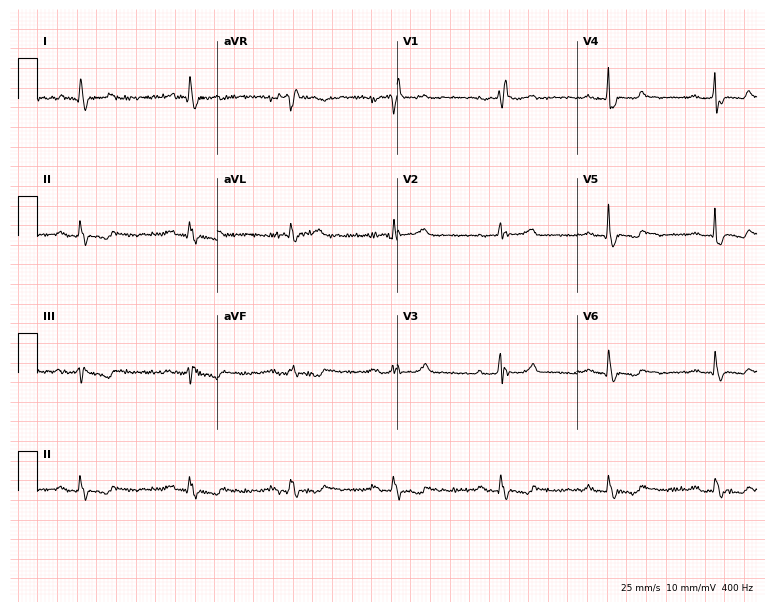
ECG — a female patient, 77 years old. Screened for six findings — first-degree AV block, right bundle branch block, left bundle branch block, sinus bradycardia, atrial fibrillation, sinus tachycardia — none is recorded.